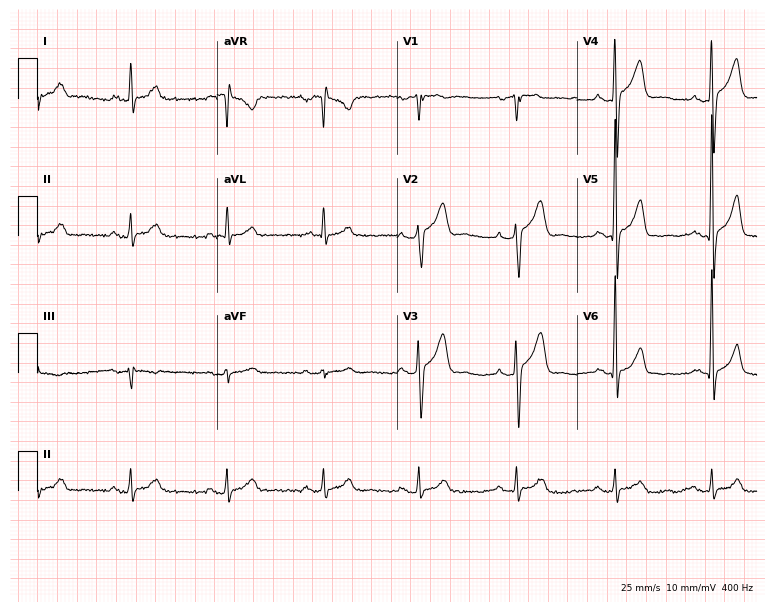
12-lead ECG (7.3-second recording at 400 Hz) from a 66-year-old man. Labelled as a normal ECG.